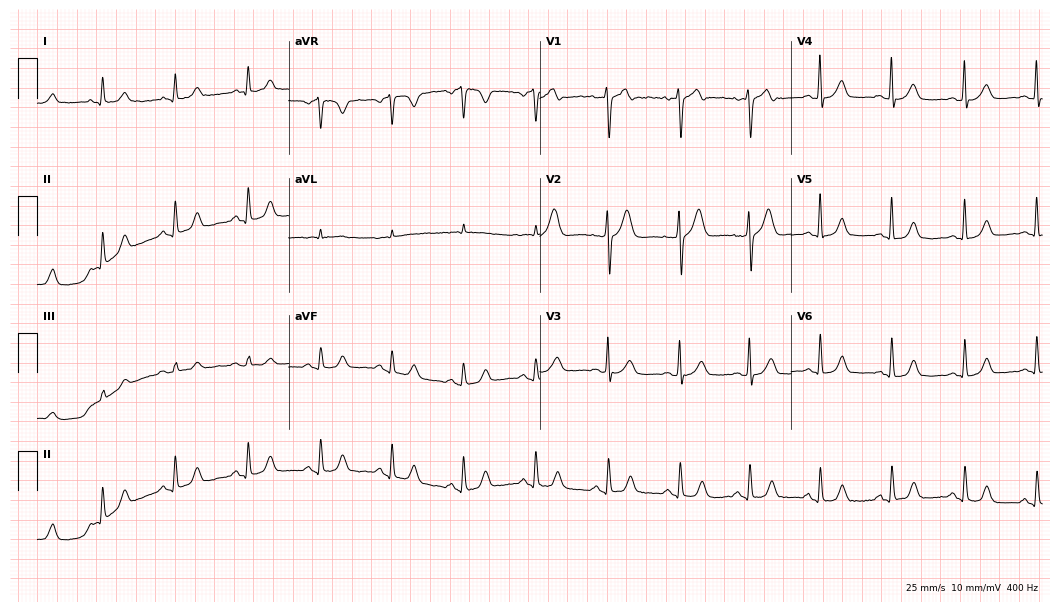
12-lead ECG from a 43-year-old woman. Labelled as a normal ECG.